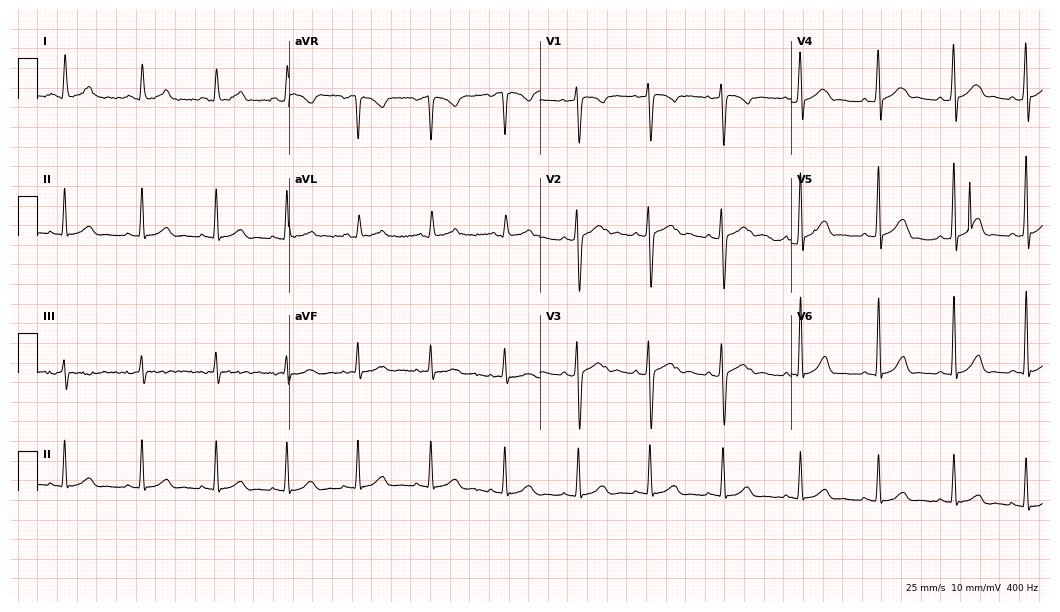
Electrocardiogram, a female patient, 36 years old. Overall reading on record: normal ECG.